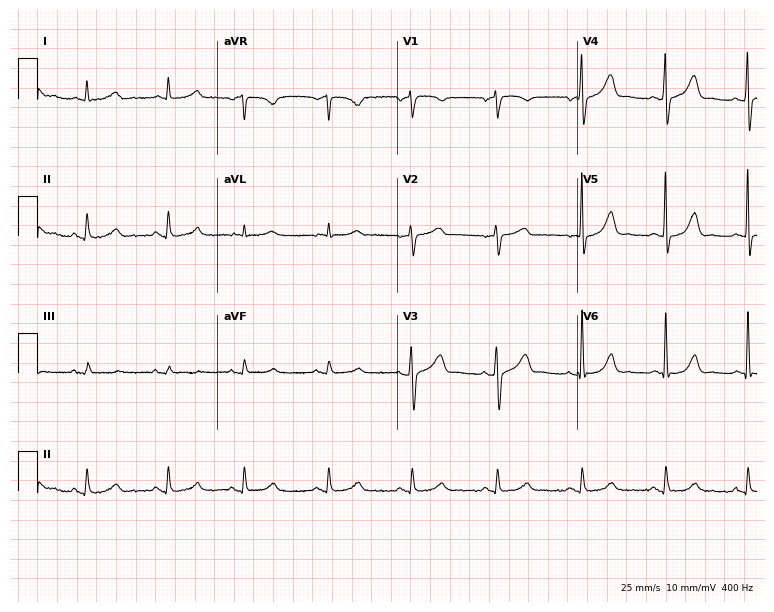
ECG — an 82-year-old man. Labelled as a normal ECG.